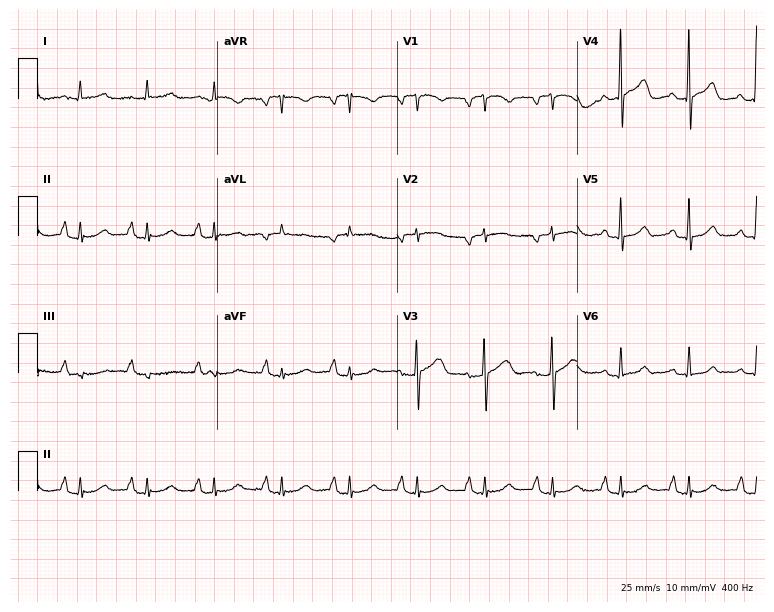
Standard 12-lead ECG recorded from a female, 78 years old (7.3-second recording at 400 Hz). None of these six findings is recorded: first-degree AV block, right bundle branch block, left bundle branch block, sinus bradycardia, atrial fibrillation, sinus tachycardia.